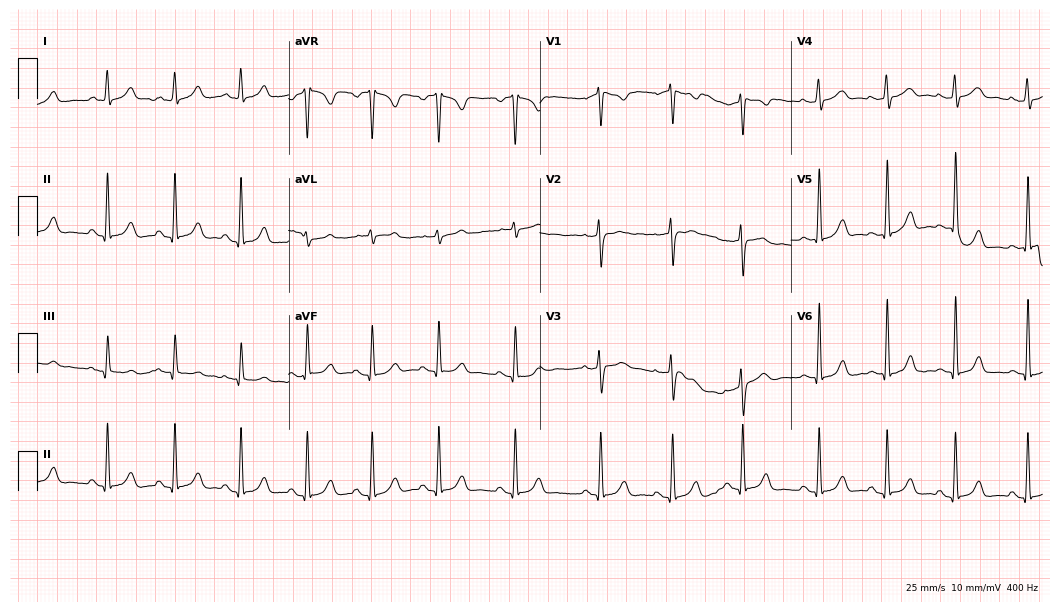
12-lead ECG (10.2-second recording at 400 Hz) from a female patient, 34 years old. Labelled as a normal ECG.